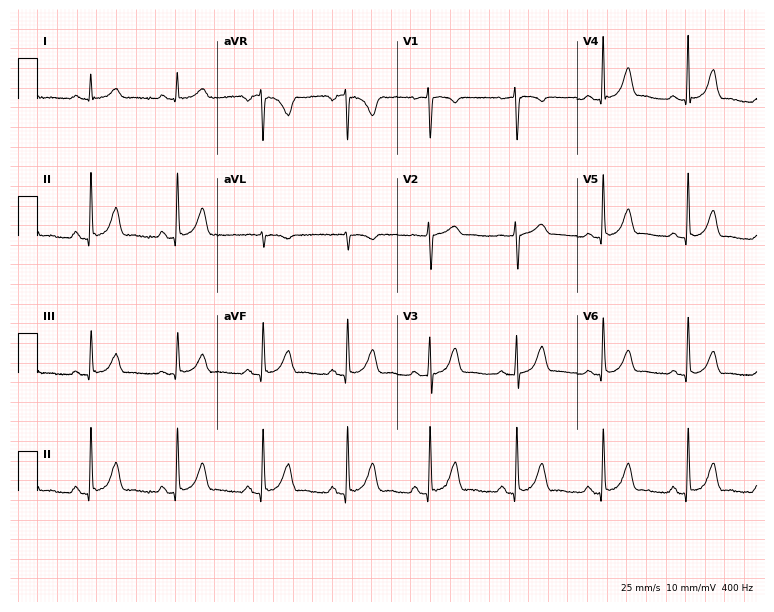
Standard 12-lead ECG recorded from a female, 64 years old. Read as a normal ECG.